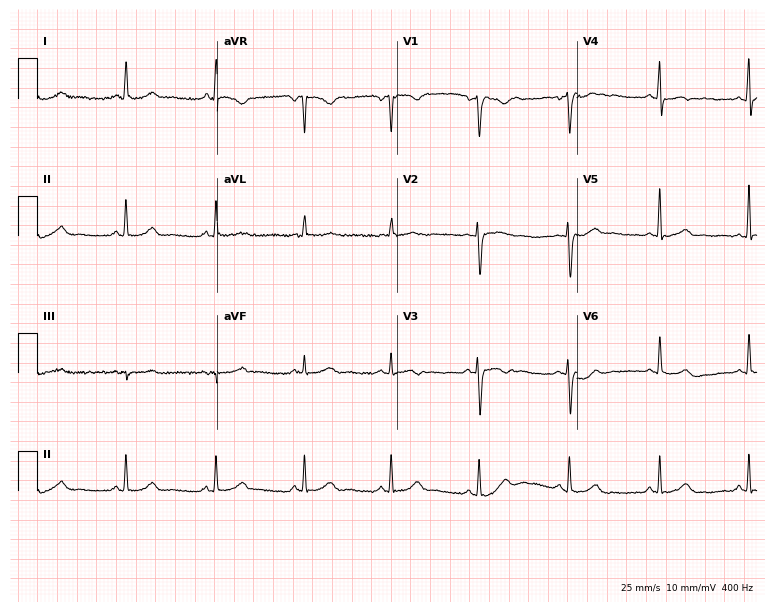
12-lead ECG from a 43-year-old female. Screened for six findings — first-degree AV block, right bundle branch block, left bundle branch block, sinus bradycardia, atrial fibrillation, sinus tachycardia — none is recorded. Findings outside these six are not listed.